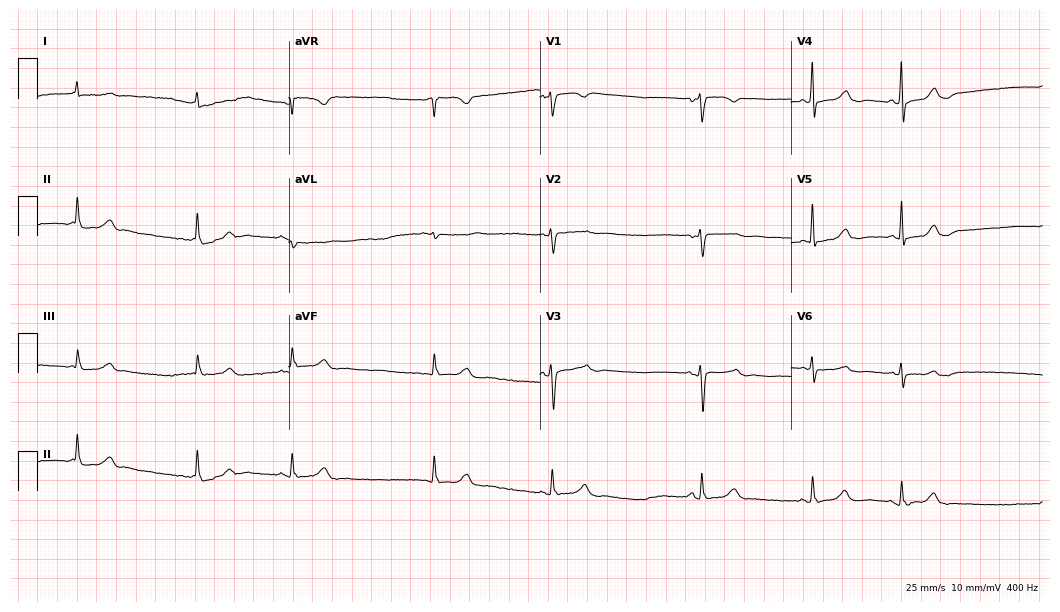
12-lead ECG from a female, 56 years old. Shows sinus bradycardia (a sinus rate of 50 beats per minute or less).